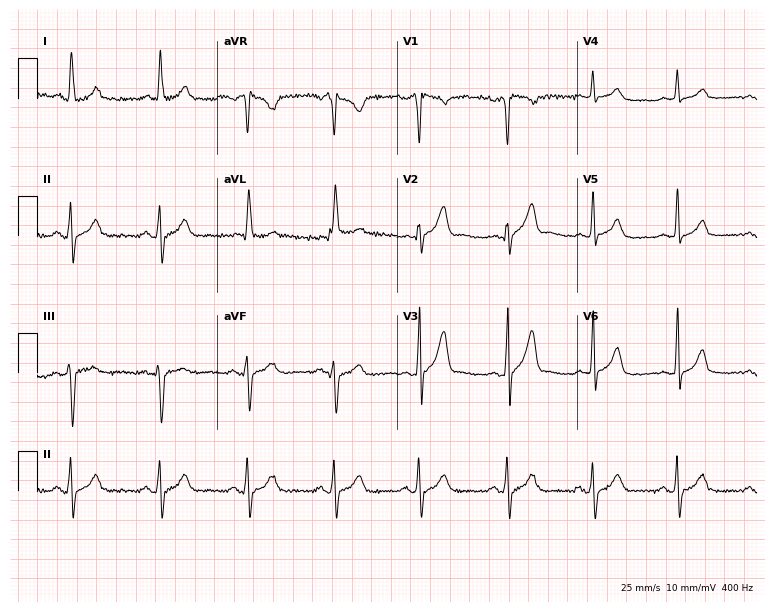
Resting 12-lead electrocardiogram (7.3-second recording at 400 Hz). Patient: a 39-year-old man. None of these six findings is recorded: first-degree AV block, right bundle branch block, left bundle branch block, sinus bradycardia, atrial fibrillation, sinus tachycardia.